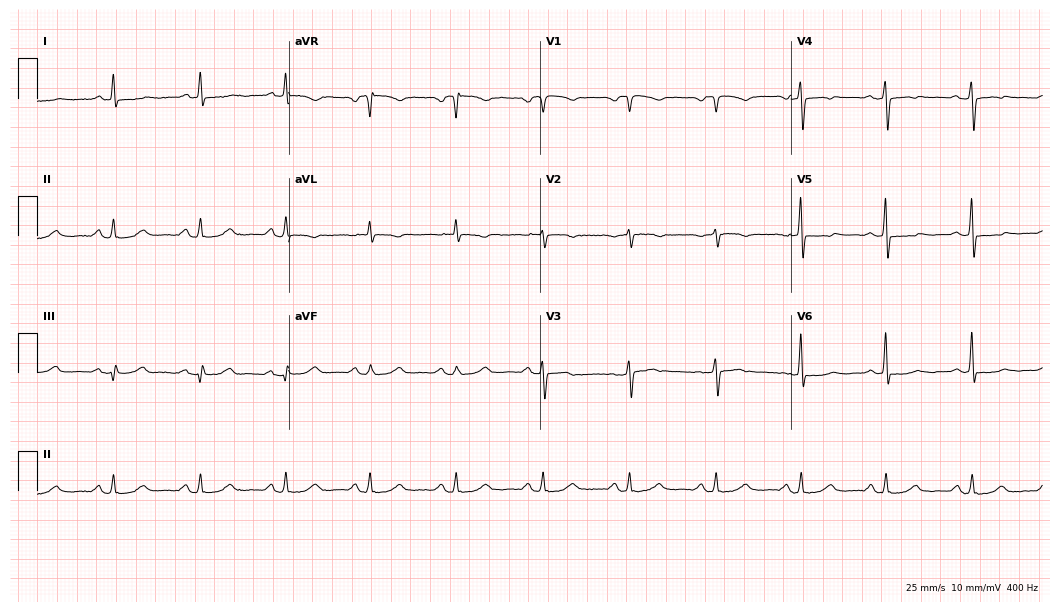
Standard 12-lead ECG recorded from a woman, 61 years old. None of these six findings is recorded: first-degree AV block, right bundle branch block, left bundle branch block, sinus bradycardia, atrial fibrillation, sinus tachycardia. Other findings, if any, are not listed.